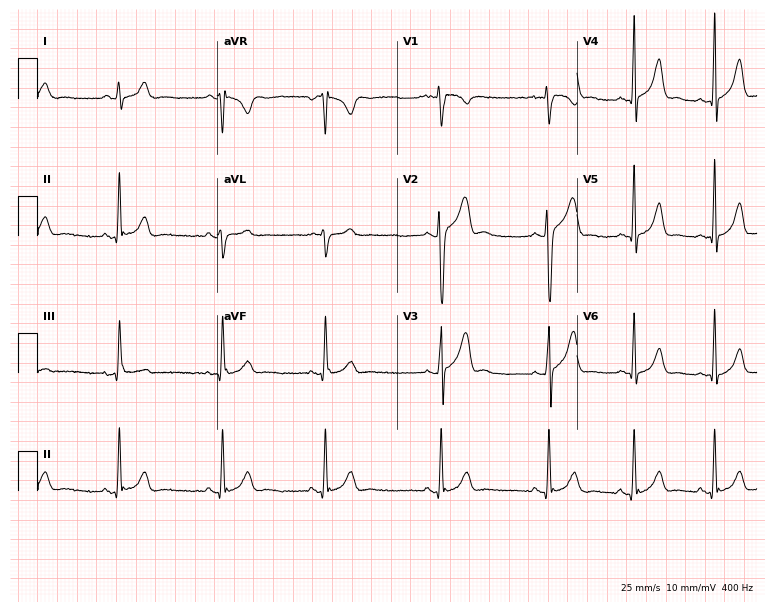
12-lead ECG from a man, 22 years old. No first-degree AV block, right bundle branch block, left bundle branch block, sinus bradycardia, atrial fibrillation or sinus tachycardia recorded for this tracing.